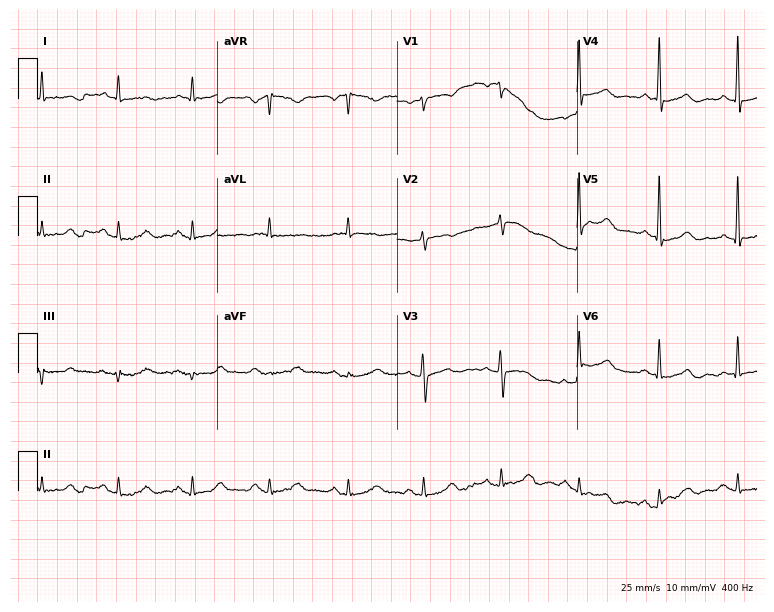
12-lead ECG from a woman, 67 years old. Labelled as a normal ECG.